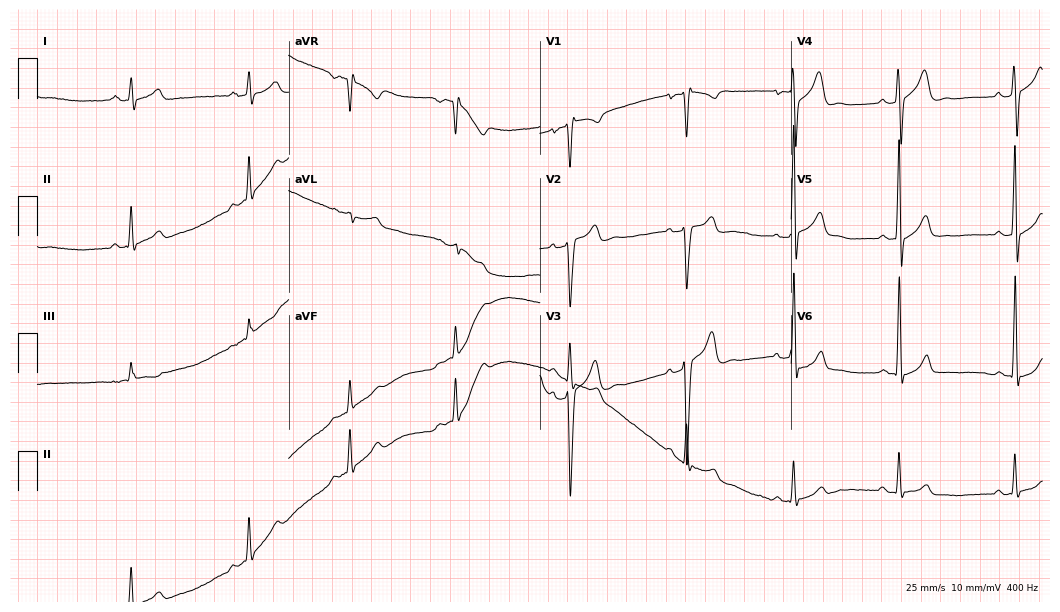
Standard 12-lead ECG recorded from a man, 31 years old (10.2-second recording at 400 Hz). None of these six findings is recorded: first-degree AV block, right bundle branch block, left bundle branch block, sinus bradycardia, atrial fibrillation, sinus tachycardia.